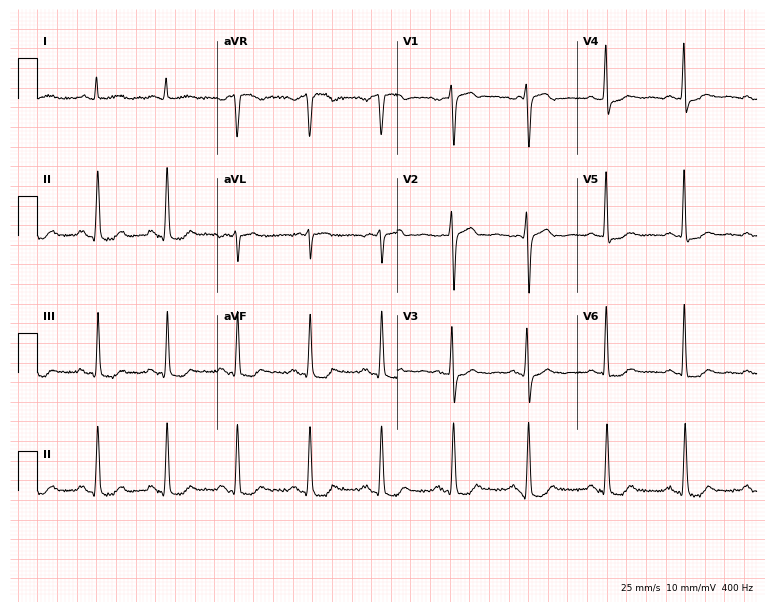
12-lead ECG from a 56-year-old female patient. Labelled as a normal ECG.